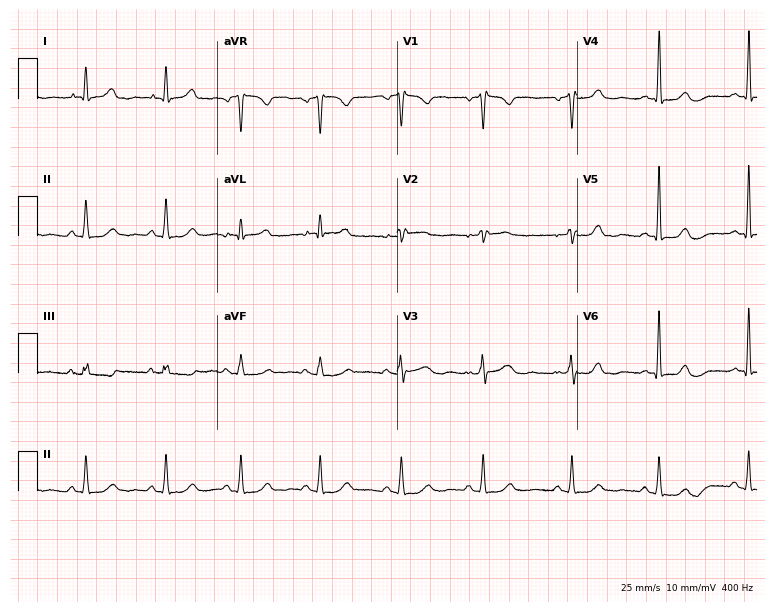
12-lead ECG from a 44-year-old female patient. Screened for six findings — first-degree AV block, right bundle branch block (RBBB), left bundle branch block (LBBB), sinus bradycardia, atrial fibrillation (AF), sinus tachycardia — none is recorded.